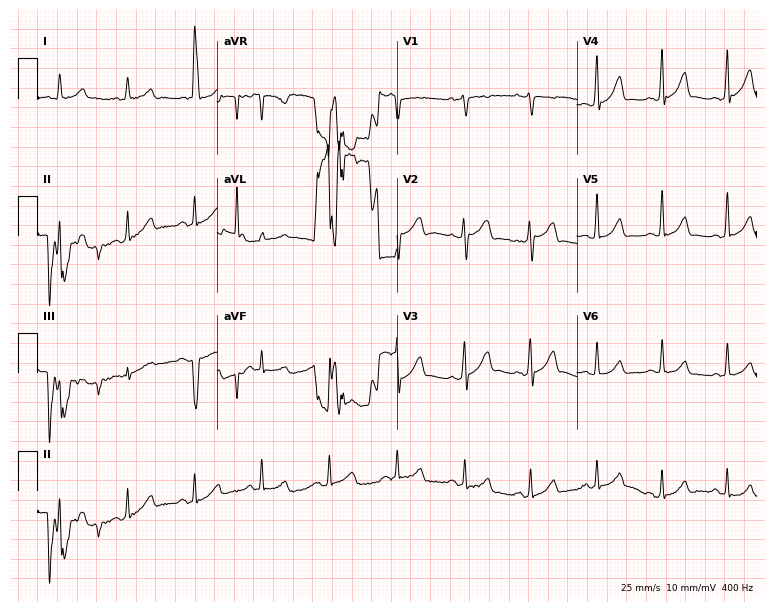
Electrocardiogram, a male patient, 45 years old. Of the six screened findings (first-degree AV block, right bundle branch block, left bundle branch block, sinus bradycardia, atrial fibrillation, sinus tachycardia), none is recorded.